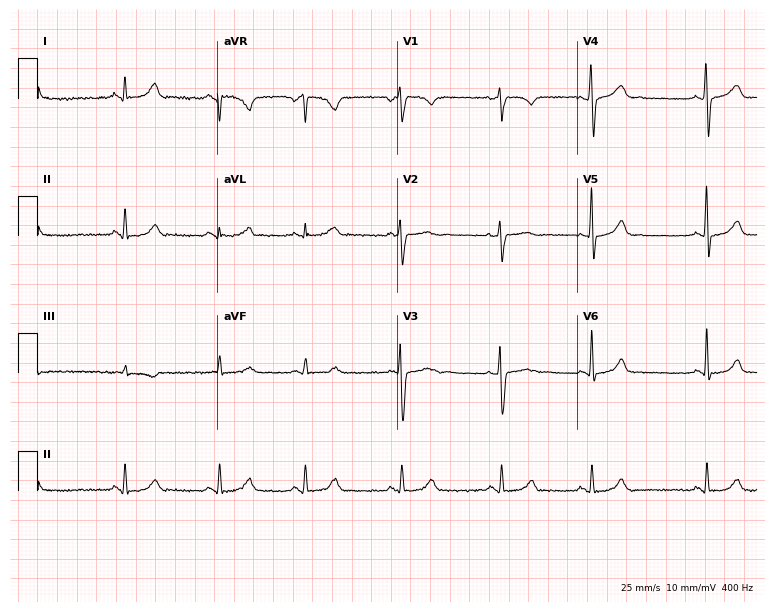
Standard 12-lead ECG recorded from a female patient, 25 years old (7.3-second recording at 400 Hz). None of these six findings is recorded: first-degree AV block, right bundle branch block, left bundle branch block, sinus bradycardia, atrial fibrillation, sinus tachycardia.